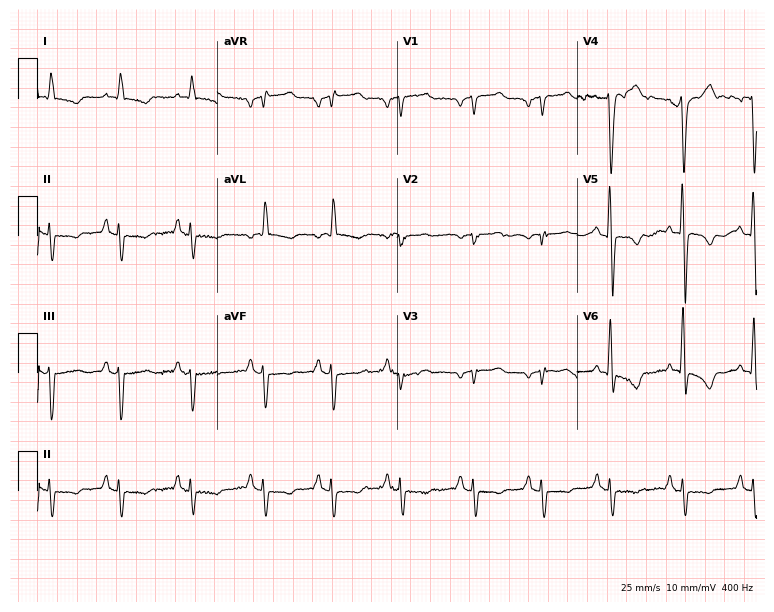
Resting 12-lead electrocardiogram (7.3-second recording at 400 Hz). Patient: a male, 70 years old. None of these six findings is recorded: first-degree AV block, right bundle branch block, left bundle branch block, sinus bradycardia, atrial fibrillation, sinus tachycardia.